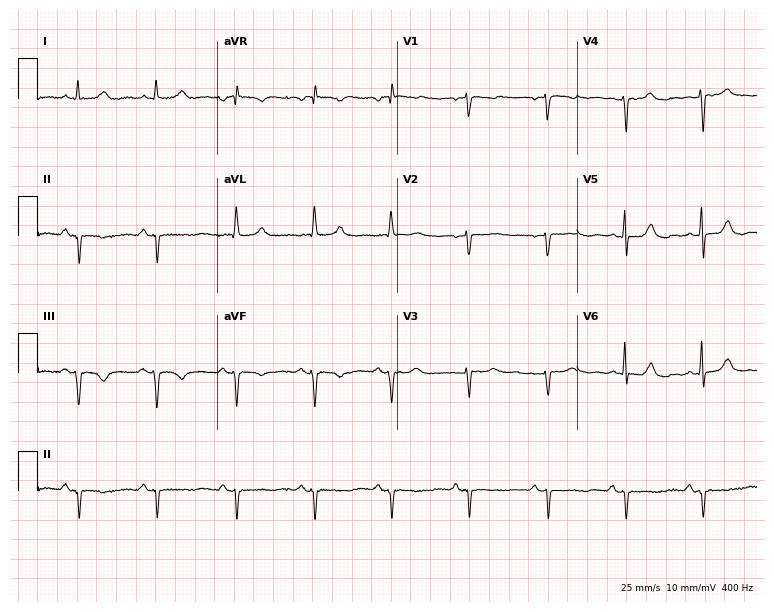
Electrocardiogram (7.3-second recording at 400 Hz), a female, 69 years old. Of the six screened findings (first-degree AV block, right bundle branch block, left bundle branch block, sinus bradycardia, atrial fibrillation, sinus tachycardia), none is recorded. Other findings, if any, are not listed.